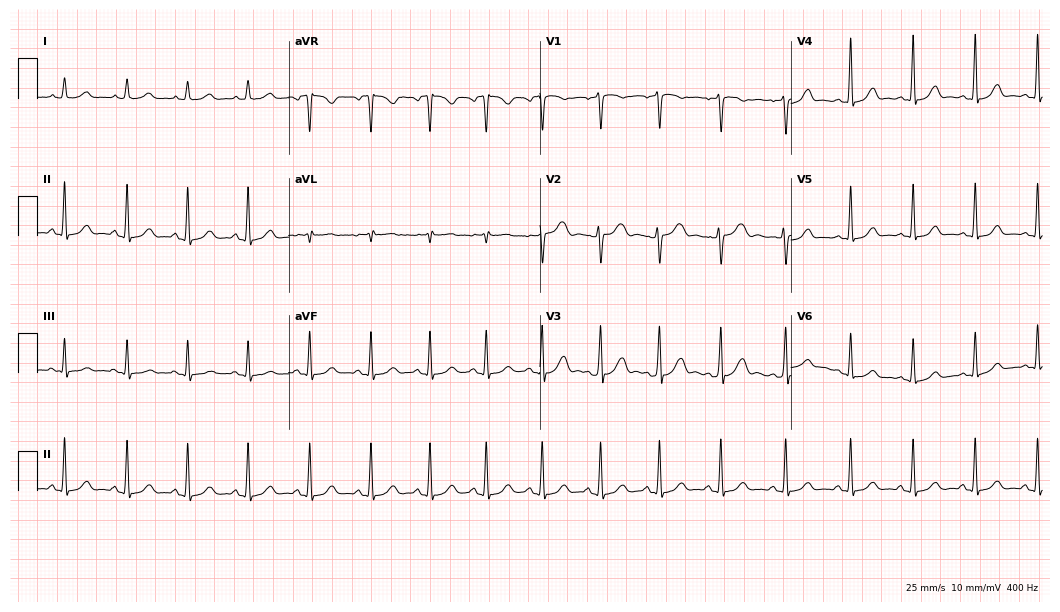
Resting 12-lead electrocardiogram (10.2-second recording at 400 Hz). Patient: a 37-year-old female. Read as a normal ECG.